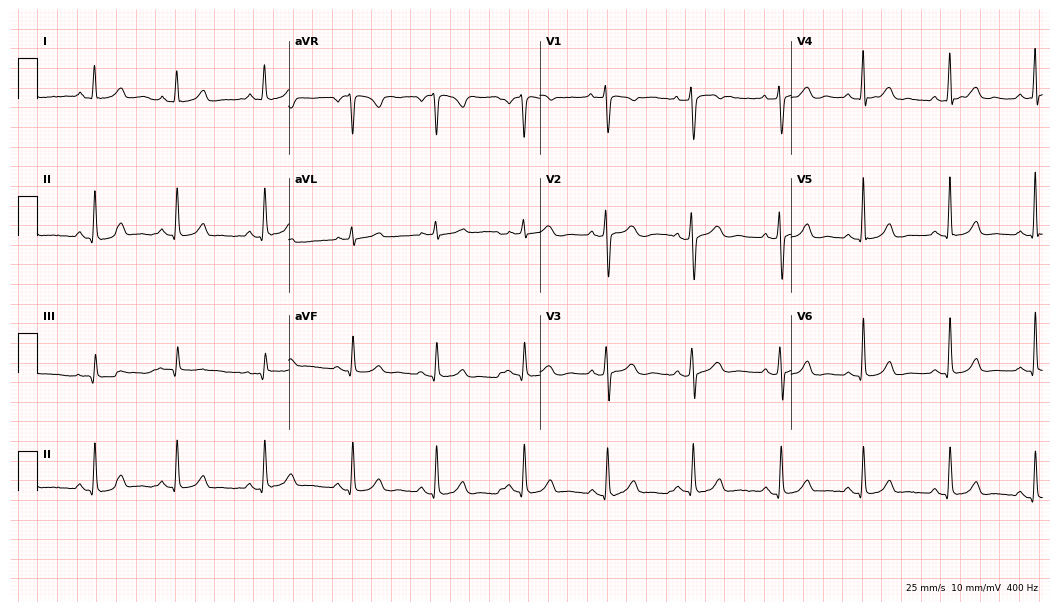
ECG (10.2-second recording at 400 Hz) — a 48-year-old female patient. Labelled as a normal ECG.